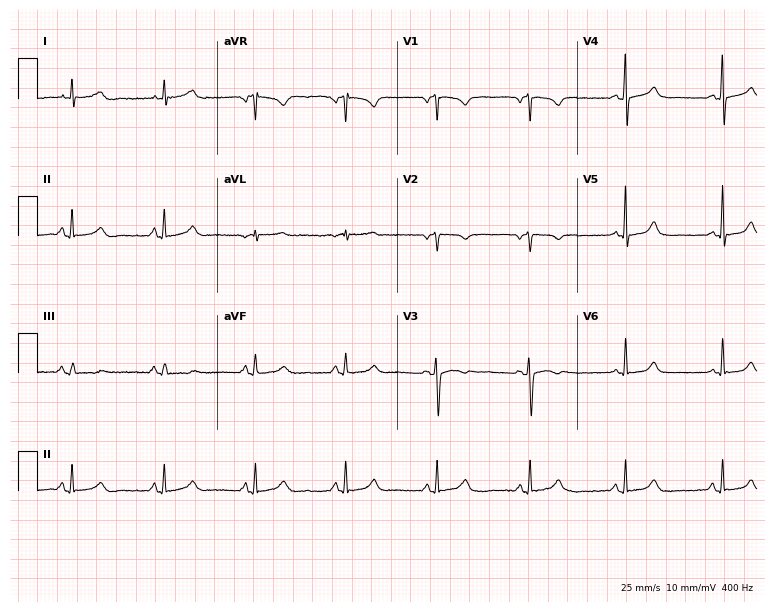
12-lead ECG from a female, 55 years old (7.3-second recording at 400 Hz). No first-degree AV block, right bundle branch block, left bundle branch block, sinus bradycardia, atrial fibrillation or sinus tachycardia recorded for this tracing. Findings outside these six are not listed.